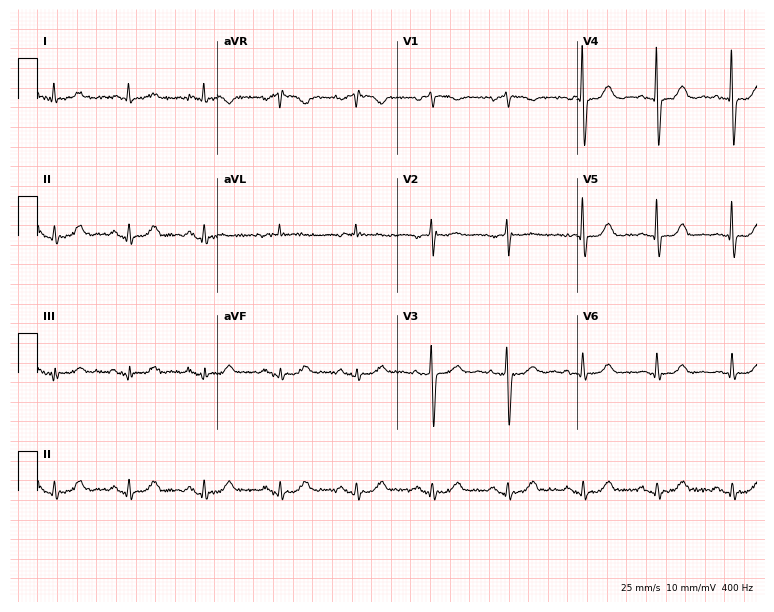
Resting 12-lead electrocardiogram (7.3-second recording at 400 Hz). Patient: a 77-year-old woman. Read as a normal ECG.